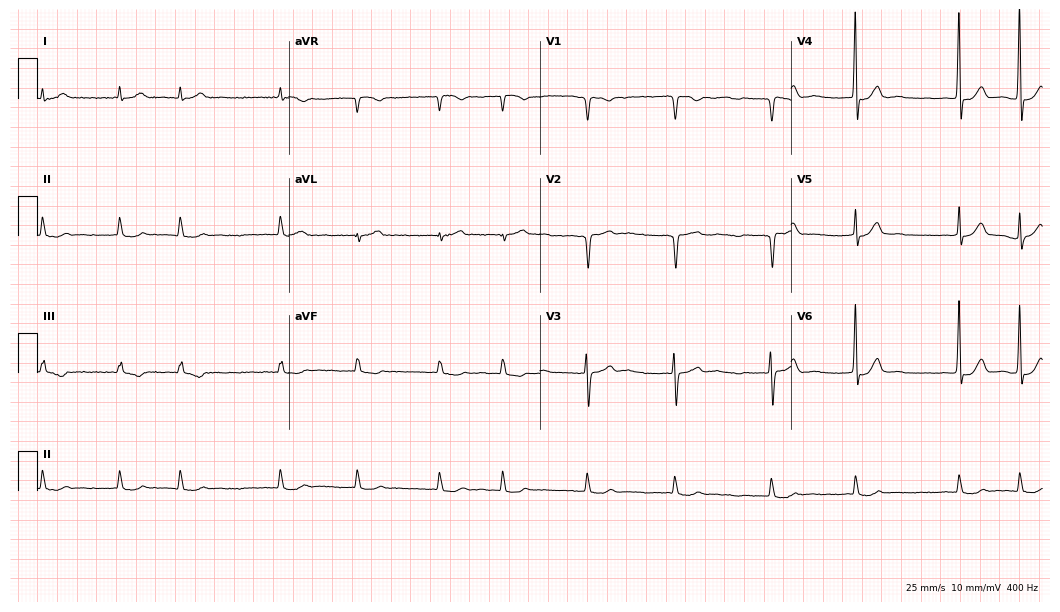
Standard 12-lead ECG recorded from an 85-year-old female patient (10.2-second recording at 400 Hz). The tracing shows atrial fibrillation.